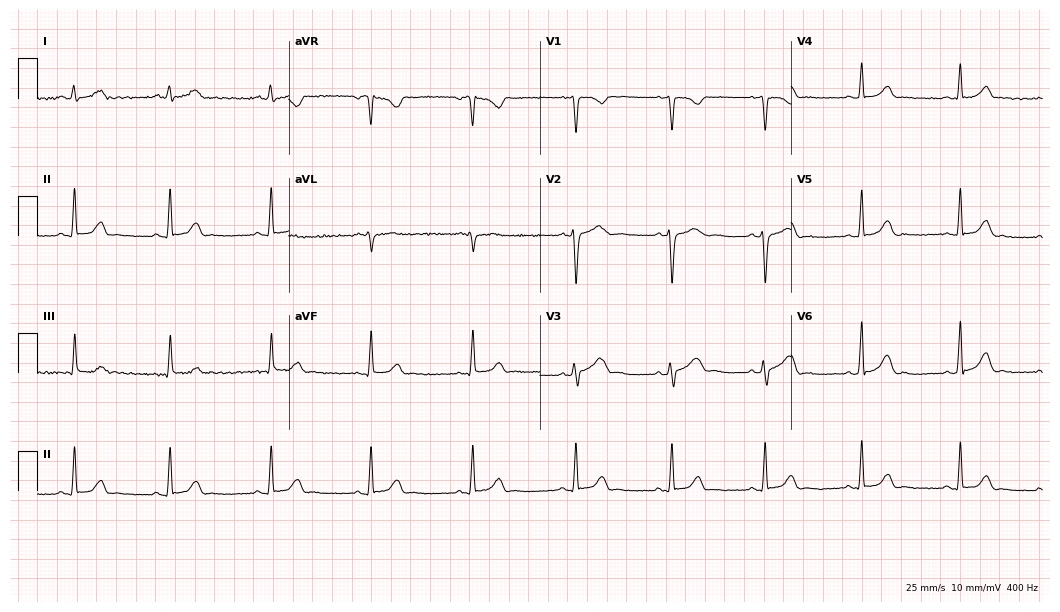
Resting 12-lead electrocardiogram. Patient: a 21-year-old female. Read as a normal ECG.